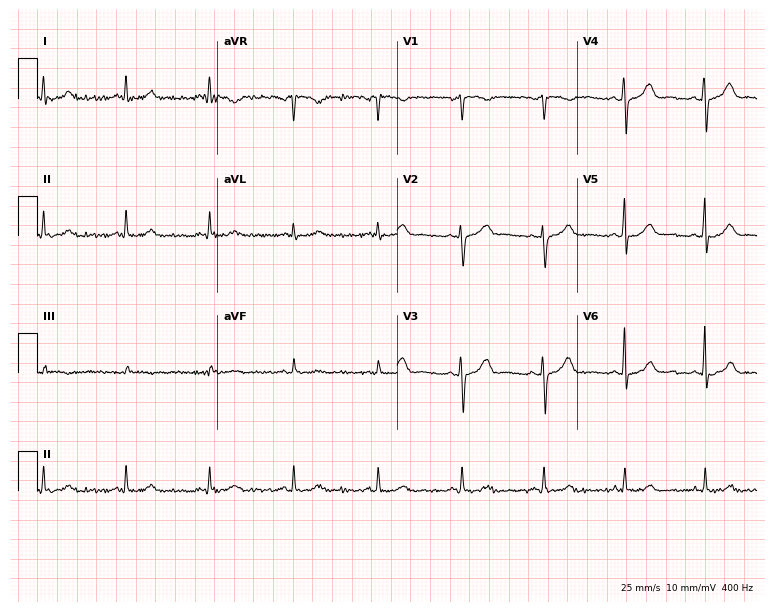
Resting 12-lead electrocardiogram. Patient: a male, 40 years old. Read as a normal ECG.